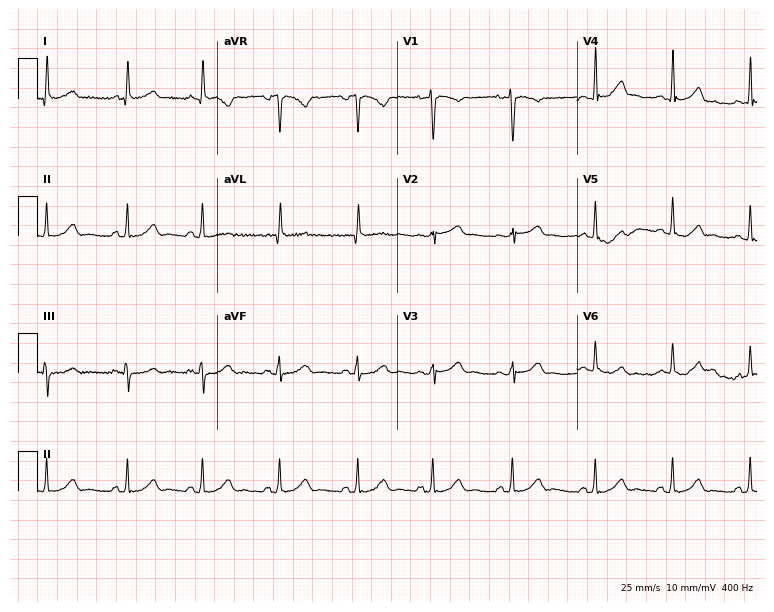
Electrocardiogram, a 34-year-old woman. Overall reading on record: normal ECG.